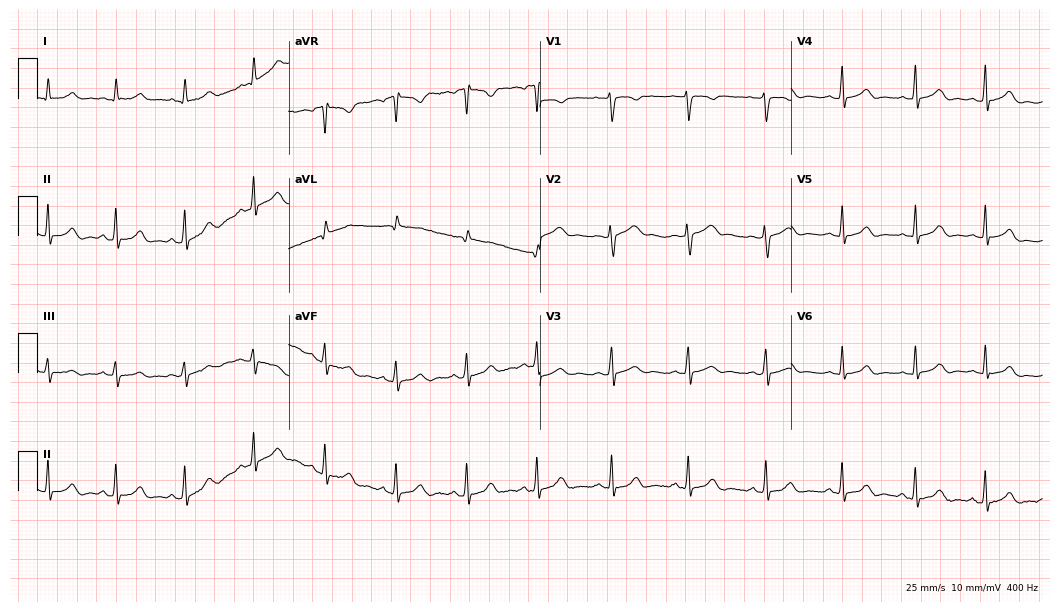
12-lead ECG from a 33-year-old woman. Recorded interpretation: within normal limits.